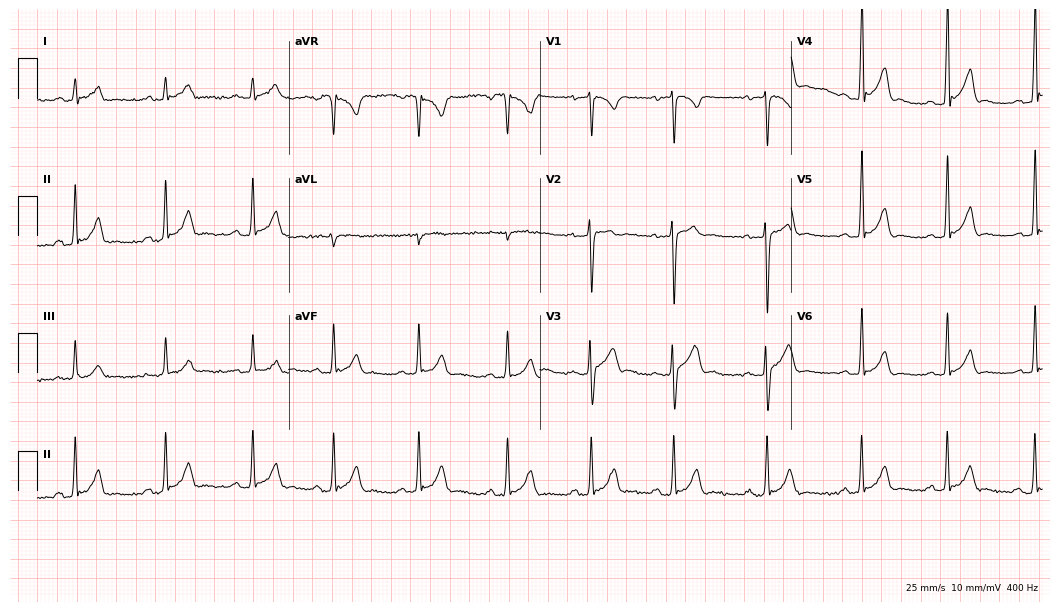
Resting 12-lead electrocardiogram (10.2-second recording at 400 Hz). Patient: a male, 20 years old. Read as a normal ECG.